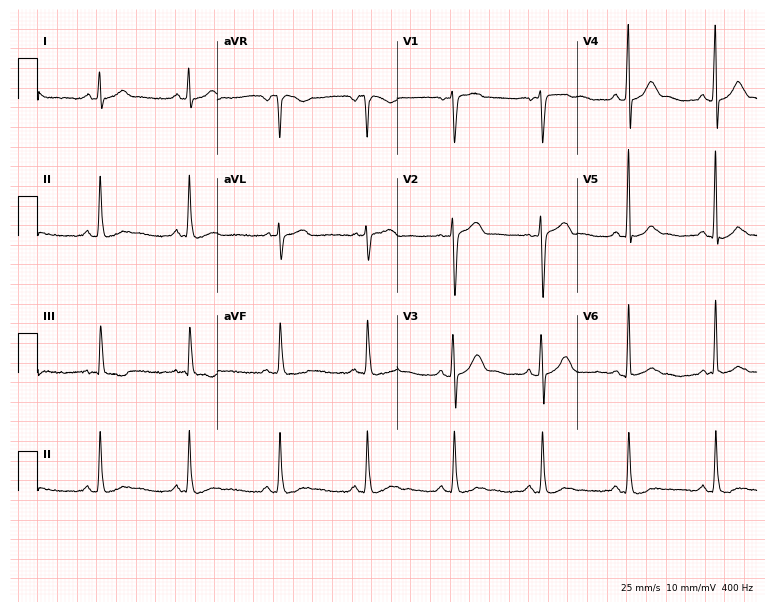
Electrocardiogram (7.3-second recording at 400 Hz), a male patient, 25 years old. Overall reading on record: normal ECG.